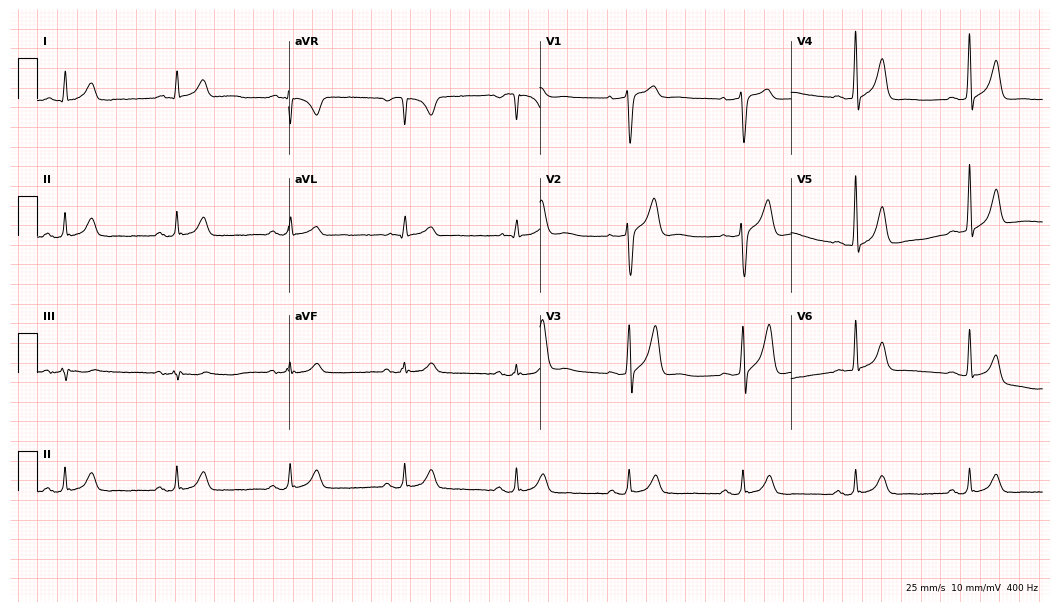
Standard 12-lead ECG recorded from a male, 63 years old. Read as a normal ECG.